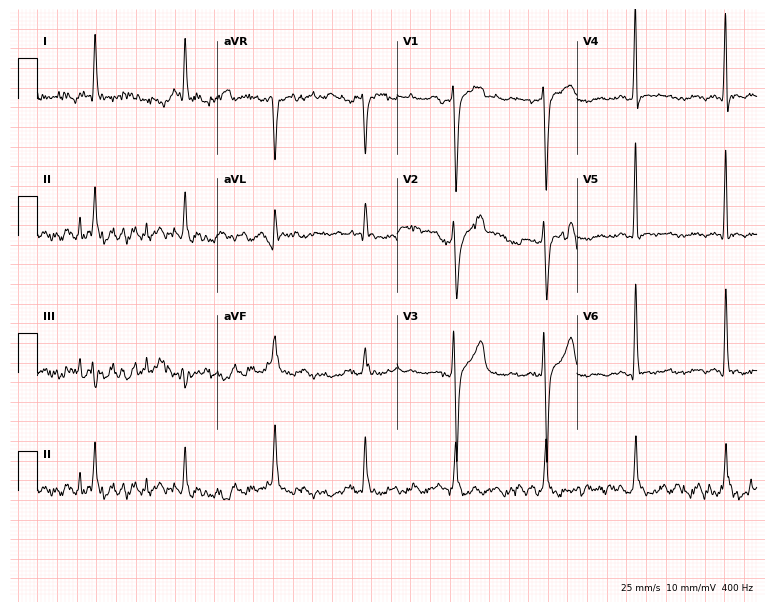
Electrocardiogram, a 56-year-old male. Of the six screened findings (first-degree AV block, right bundle branch block (RBBB), left bundle branch block (LBBB), sinus bradycardia, atrial fibrillation (AF), sinus tachycardia), none is recorded. Other findings, if any, are not listed.